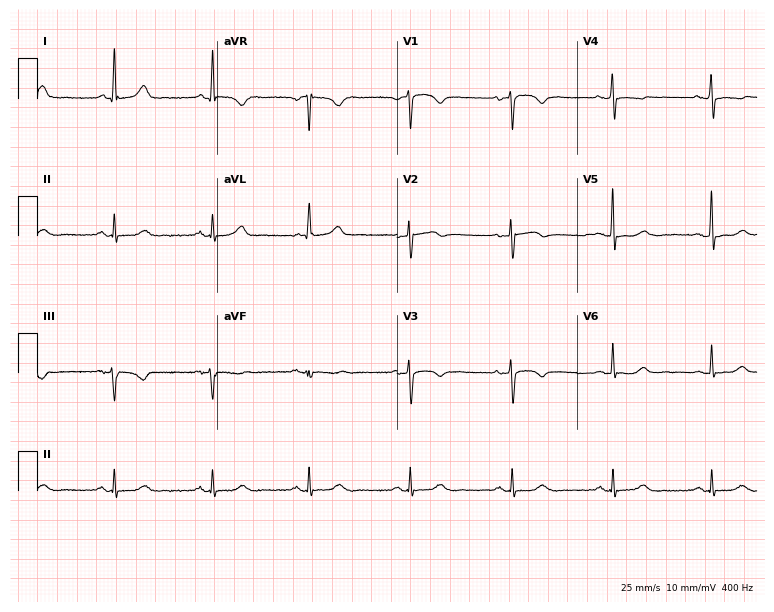
Standard 12-lead ECG recorded from a woman, 56 years old. None of these six findings is recorded: first-degree AV block, right bundle branch block, left bundle branch block, sinus bradycardia, atrial fibrillation, sinus tachycardia.